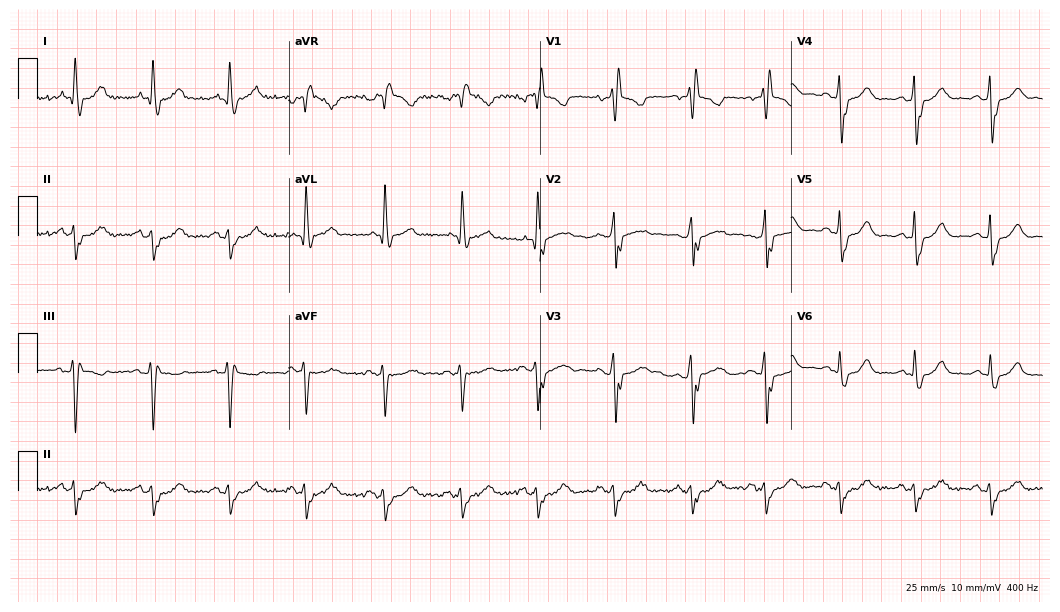
12-lead ECG from a man, 70 years old. Shows right bundle branch block (RBBB).